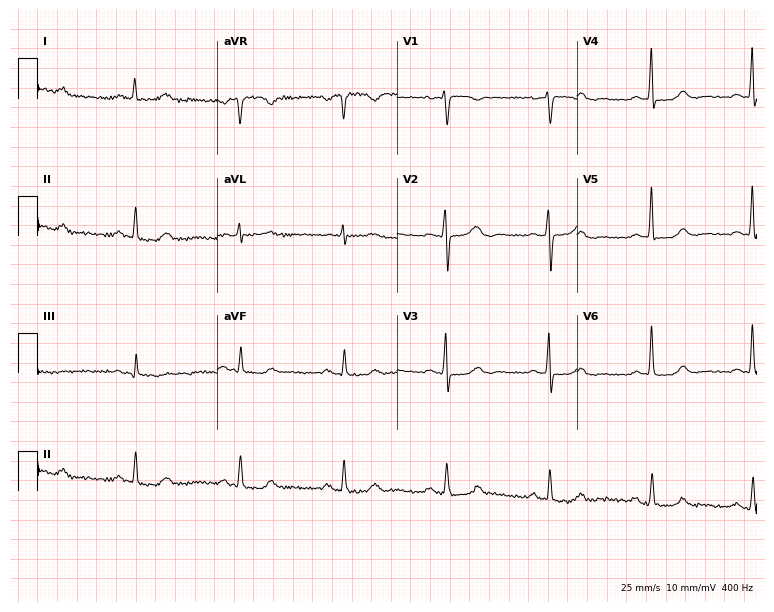
Standard 12-lead ECG recorded from a 56-year-old woman (7.3-second recording at 400 Hz). None of these six findings is recorded: first-degree AV block, right bundle branch block, left bundle branch block, sinus bradycardia, atrial fibrillation, sinus tachycardia. Findings outside these six are not listed.